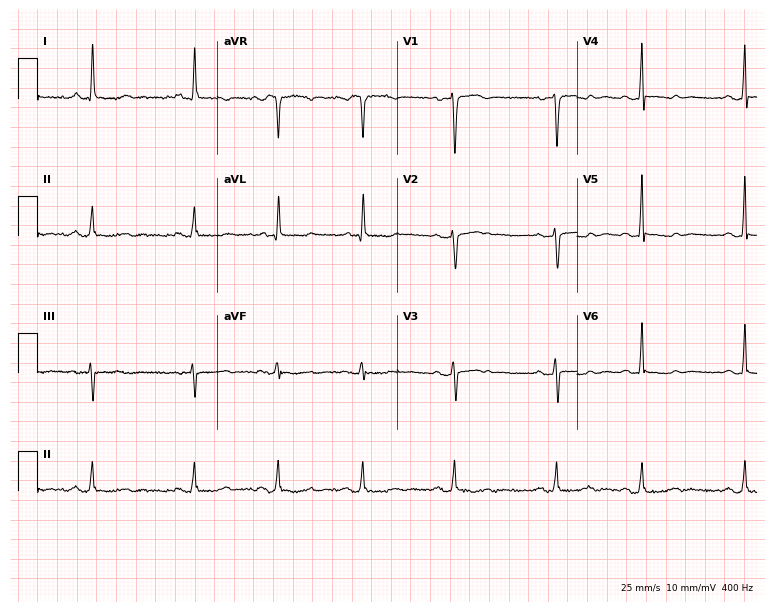
Resting 12-lead electrocardiogram (7.3-second recording at 400 Hz). Patient: a woman, 64 years old. None of these six findings is recorded: first-degree AV block, right bundle branch block, left bundle branch block, sinus bradycardia, atrial fibrillation, sinus tachycardia. Other findings, if any, are not listed.